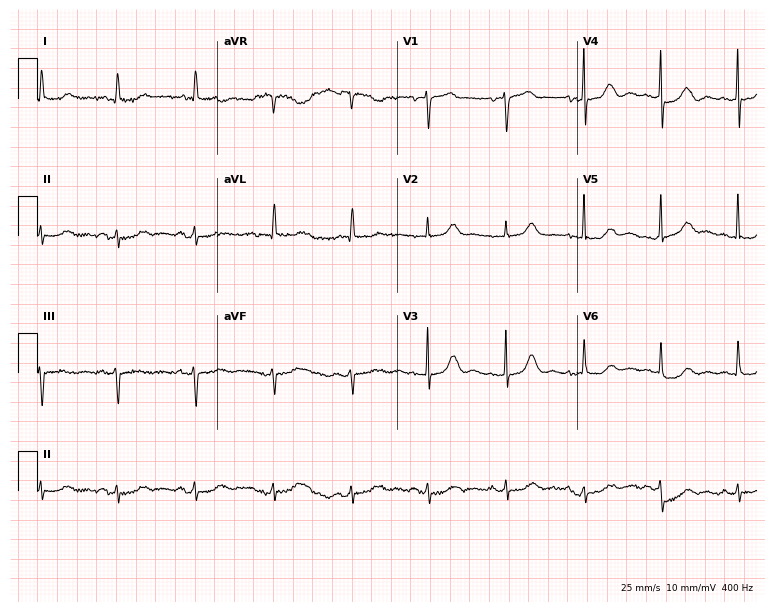
Resting 12-lead electrocardiogram. Patient: an 83-year-old female. Read as a normal ECG.